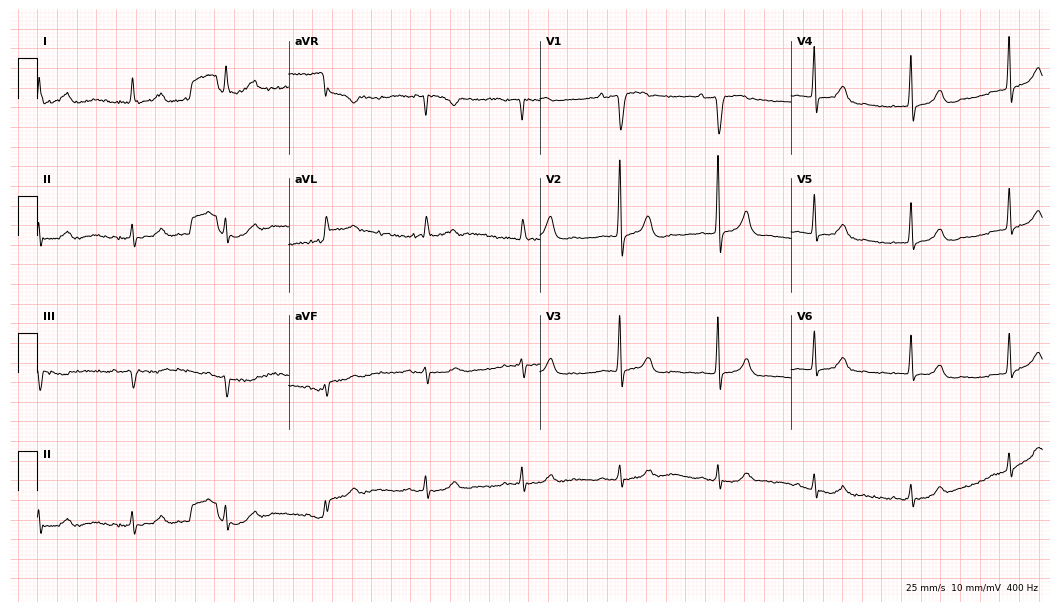
12-lead ECG from a man, 84 years old. No first-degree AV block, right bundle branch block, left bundle branch block, sinus bradycardia, atrial fibrillation or sinus tachycardia recorded for this tracing. Only these six findings were labelled.